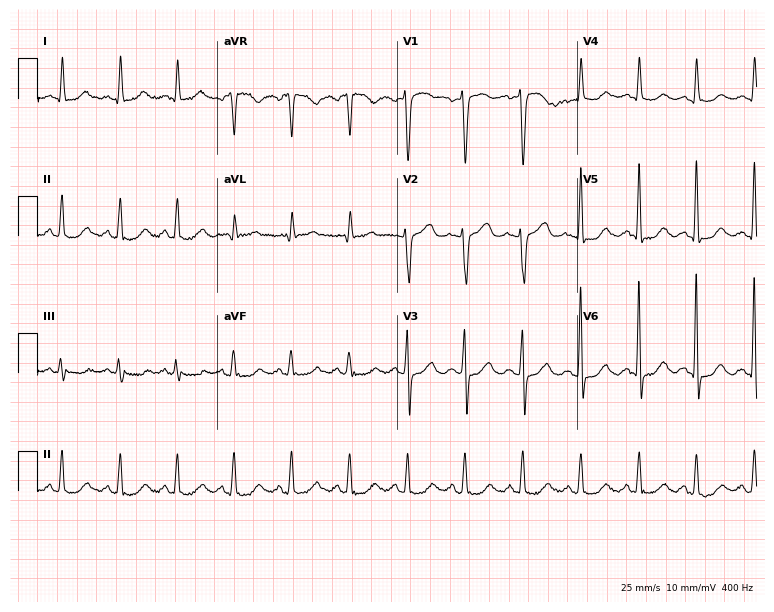
Electrocardiogram (7.3-second recording at 400 Hz), an 81-year-old female. Interpretation includes sinus tachycardia (a sinus rate of 100 beats per minute or more).